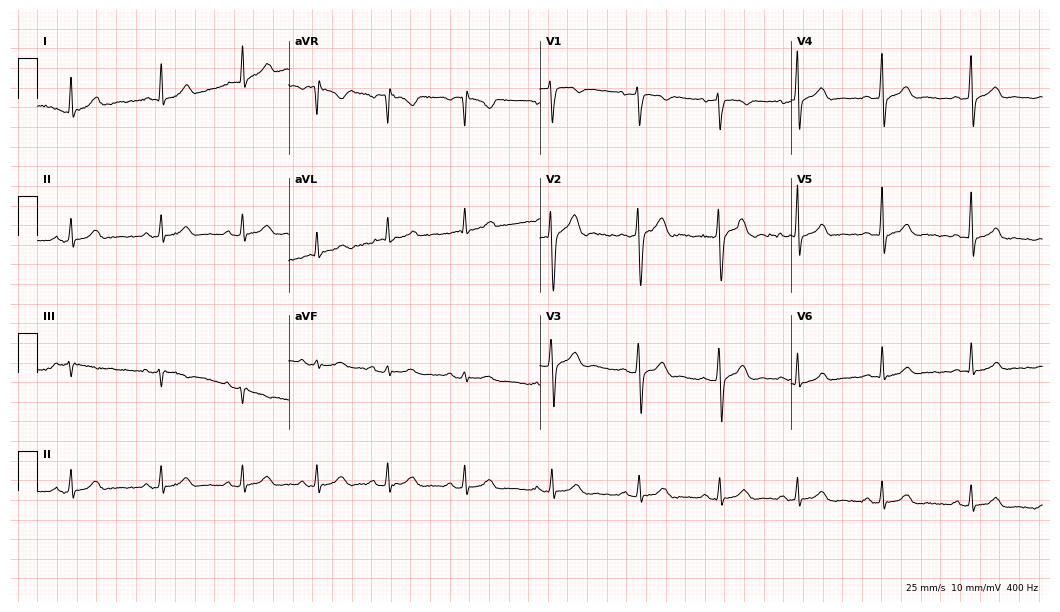
Resting 12-lead electrocardiogram. Patient: a male, 24 years old. Read as a normal ECG.